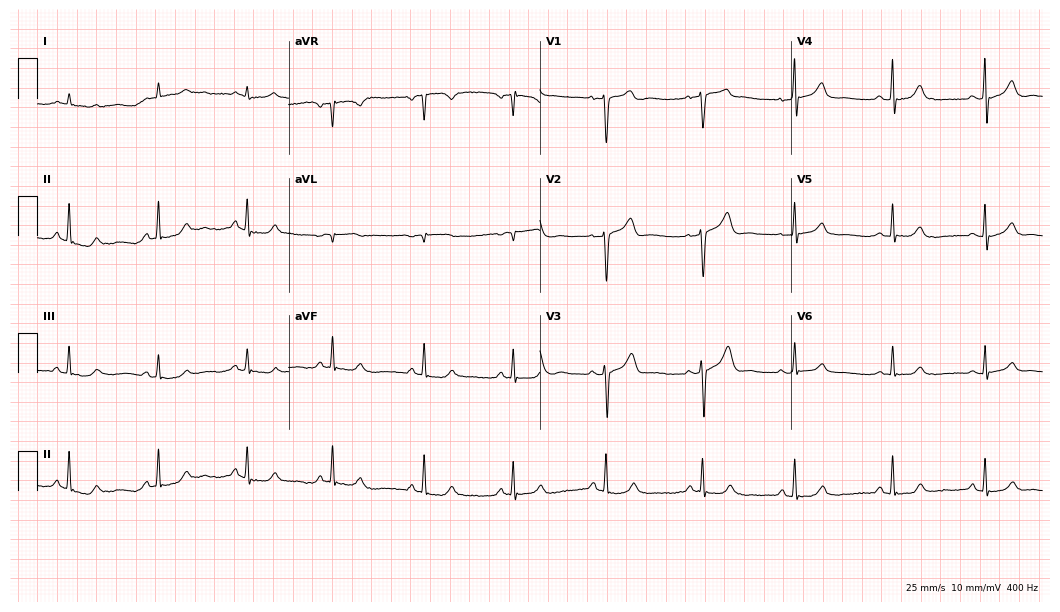
Resting 12-lead electrocardiogram (10.2-second recording at 400 Hz). Patient: a 47-year-old man. Read as a normal ECG.